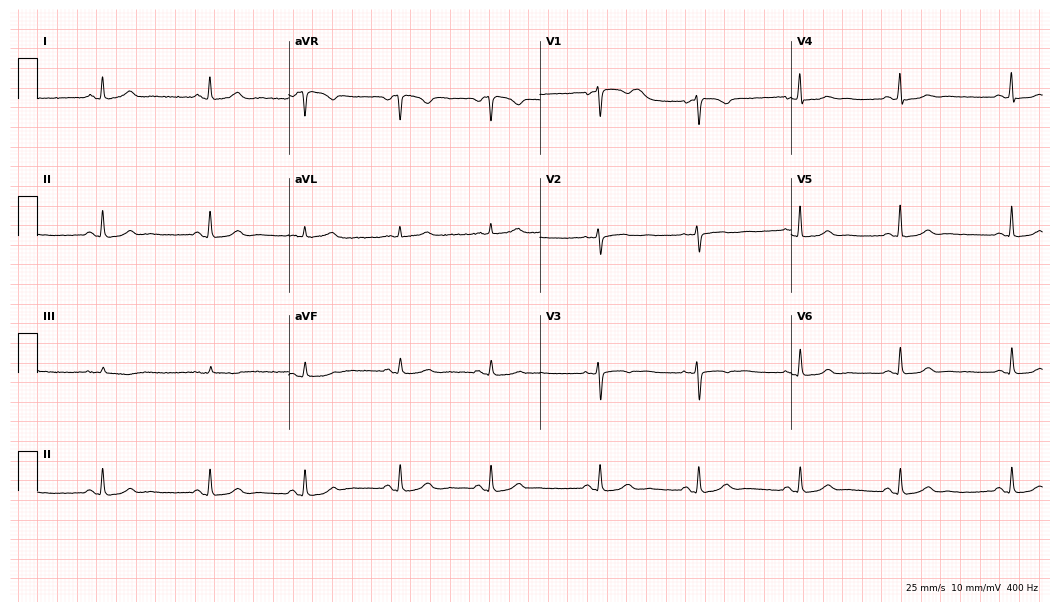
12-lead ECG from a female patient, 48 years old. No first-degree AV block, right bundle branch block, left bundle branch block, sinus bradycardia, atrial fibrillation or sinus tachycardia recorded for this tracing.